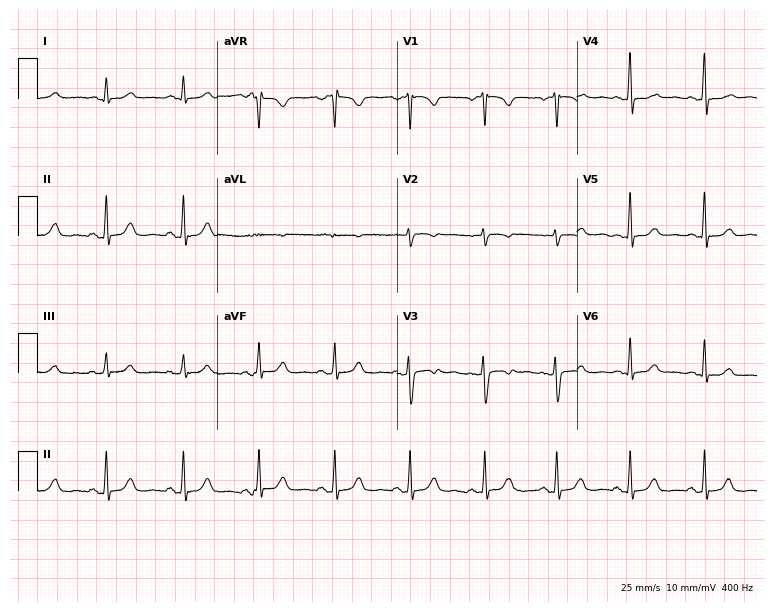
ECG (7.3-second recording at 400 Hz) — a 40-year-old woman. Screened for six findings — first-degree AV block, right bundle branch block, left bundle branch block, sinus bradycardia, atrial fibrillation, sinus tachycardia — none is recorded.